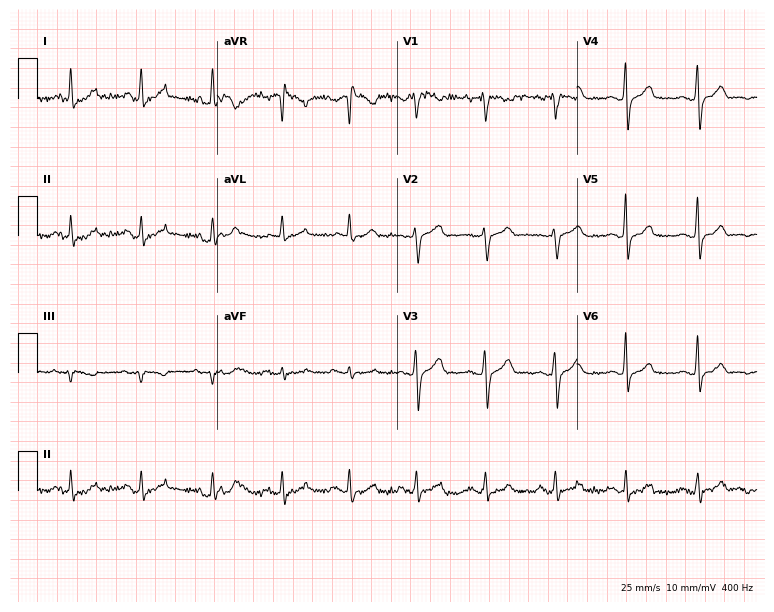
12-lead ECG from a 54-year-old female patient (7.3-second recording at 400 Hz). Recorded interpretation: within normal limits.